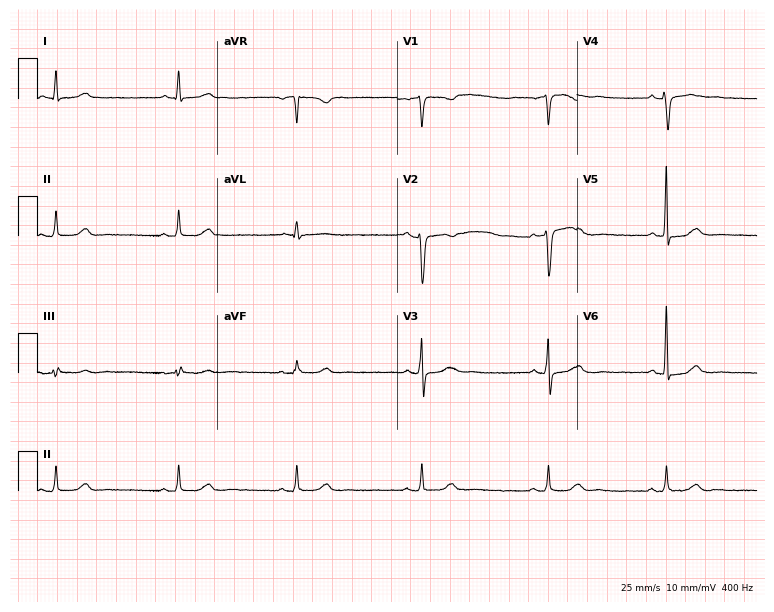
Resting 12-lead electrocardiogram (7.3-second recording at 400 Hz). Patient: a female, 49 years old. None of these six findings is recorded: first-degree AV block, right bundle branch block, left bundle branch block, sinus bradycardia, atrial fibrillation, sinus tachycardia. Only these six findings were labelled.